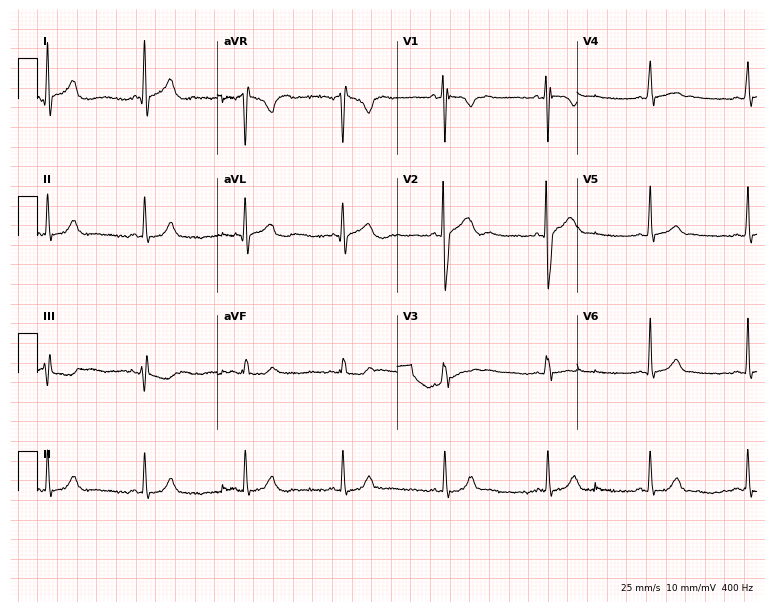
12-lead ECG (7.3-second recording at 400 Hz) from an 18-year-old female. Labelled as a normal ECG.